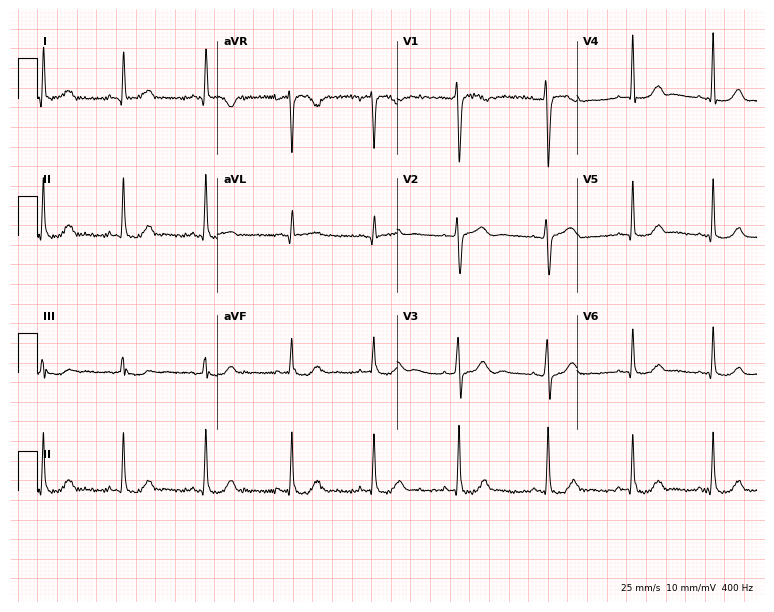
Resting 12-lead electrocardiogram. Patient: a 38-year-old female. Read as a normal ECG.